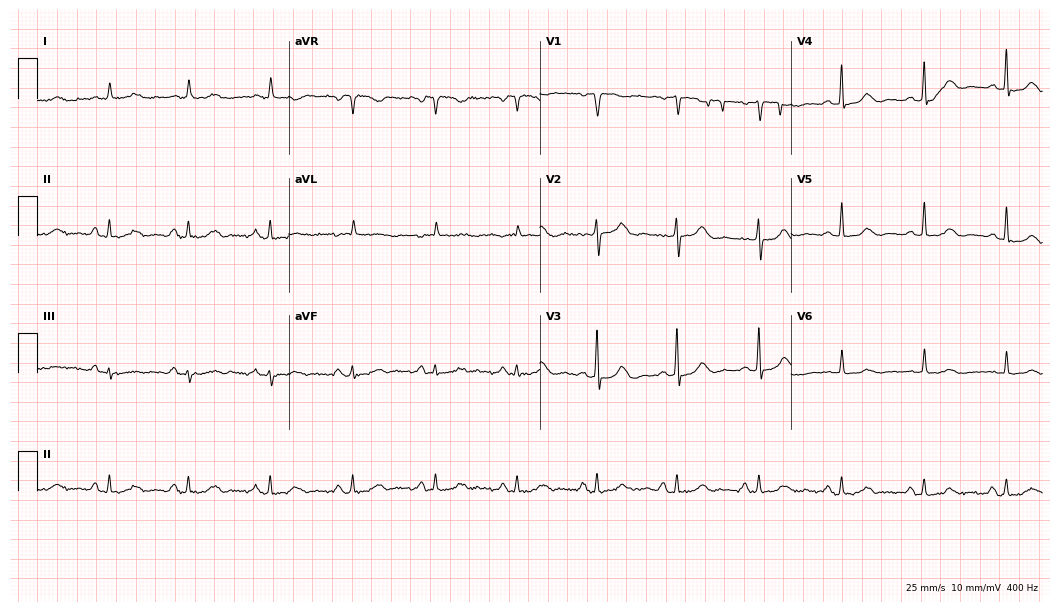
12-lead ECG from an 84-year-old woman (10.2-second recording at 400 Hz). No first-degree AV block, right bundle branch block (RBBB), left bundle branch block (LBBB), sinus bradycardia, atrial fibrillation (AF) or sinus tachycardia recorded for this tracing. Findings outside these six are not listed.